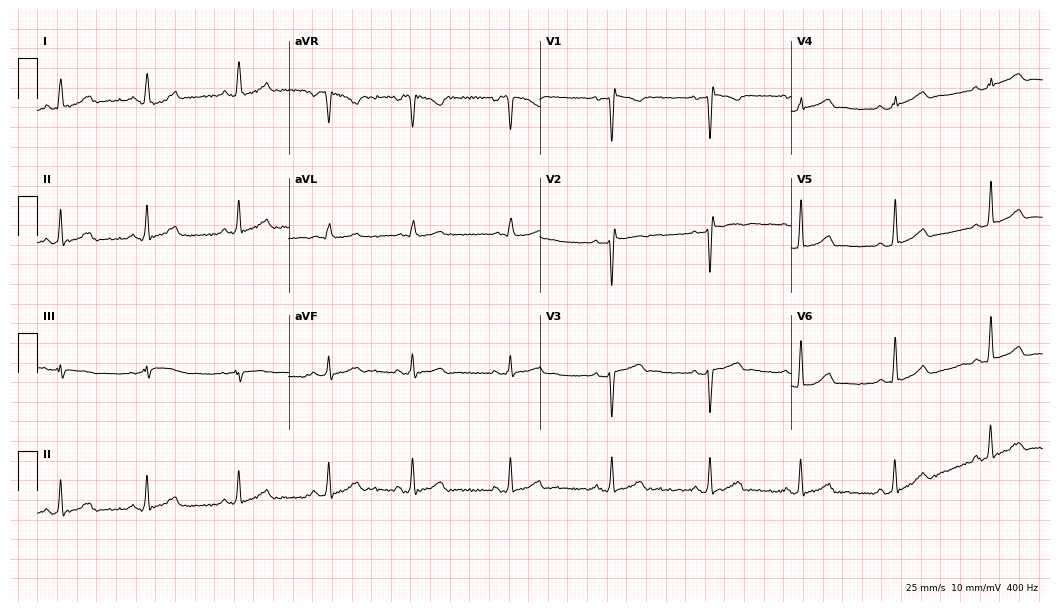
12-lead ECG from a 28-year-old woman. Labelled as a normal ECG.